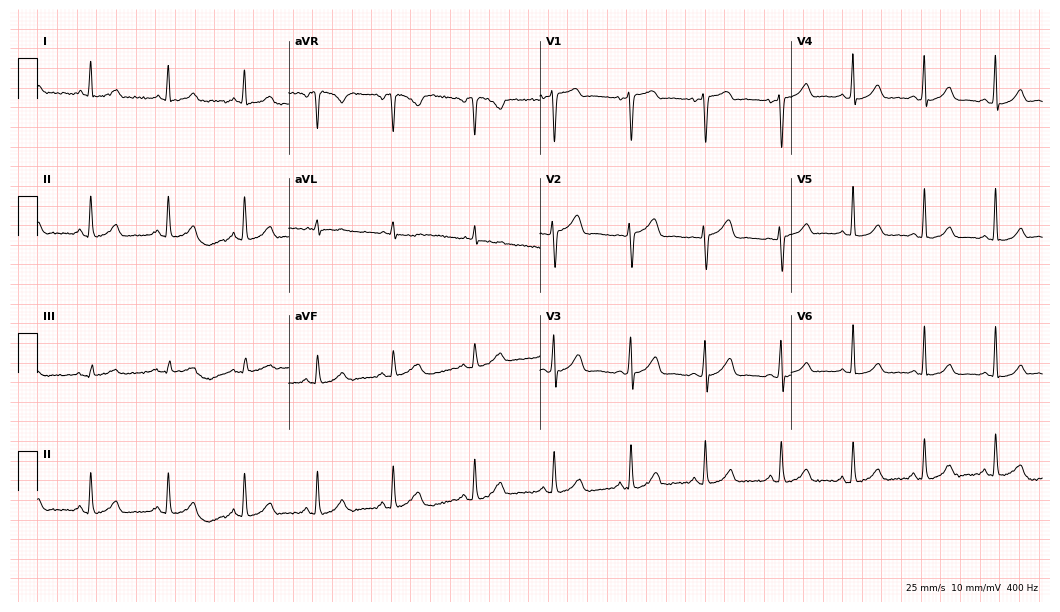
12-lead ECG from a female patient, 63 years old (10.2-second recording at 400 Hz). No first-degree AV block, right bundle branch block (RBBB), left bundle branch block (LBBB), sinus bradycardia, atrial fibrillation (AF) or sinus tachycardia recorded for this tracing.